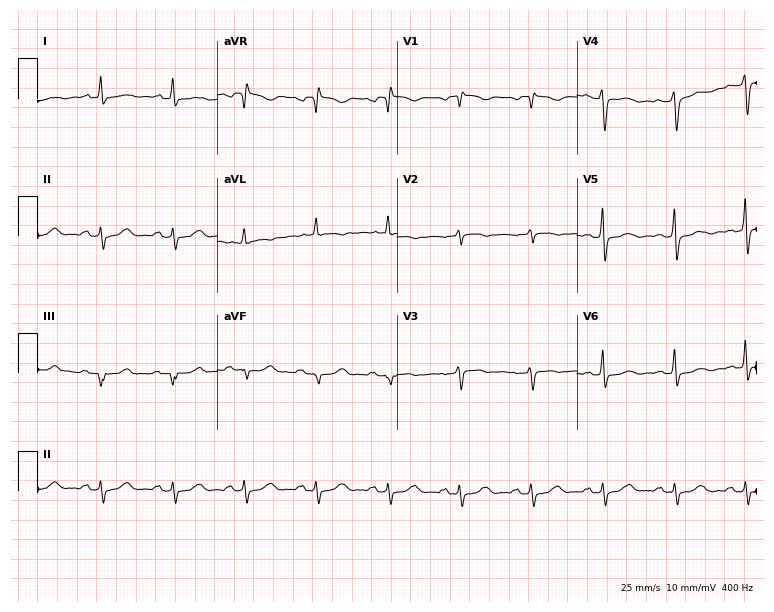
12-lead ECG from a woman, 68 years old. No first-degree AV block, right bundle branch block, left bundle branch block, sinus bradycardia, atrial fibrillation or sinus tachycardia recorded for this tracing.